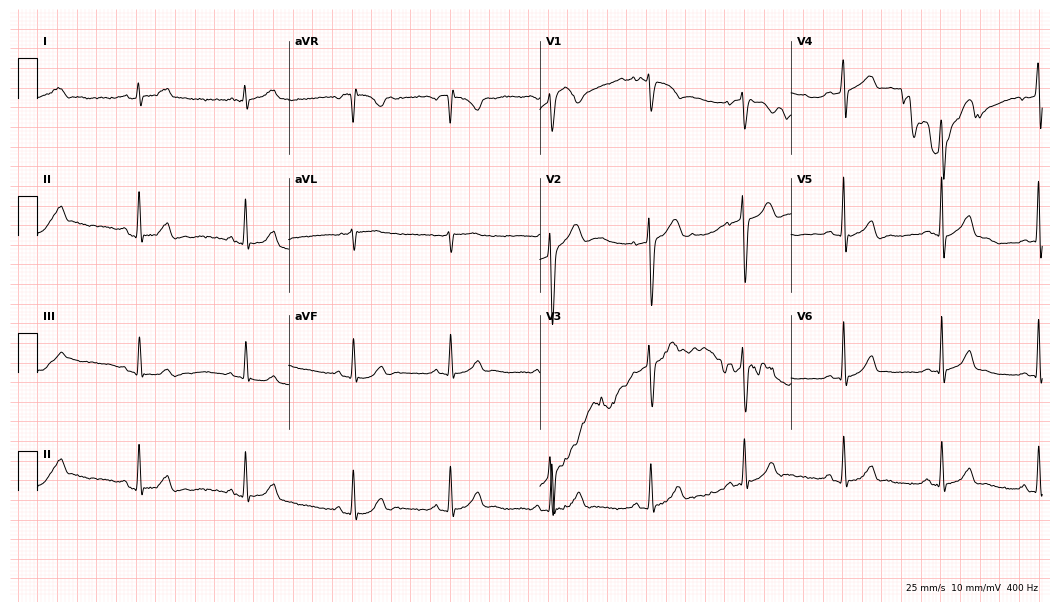
Standard 12-lead ECG recorded from a 29-year-old male patient (10.2-second recording at 400 Hz). Read as a normal ECG.